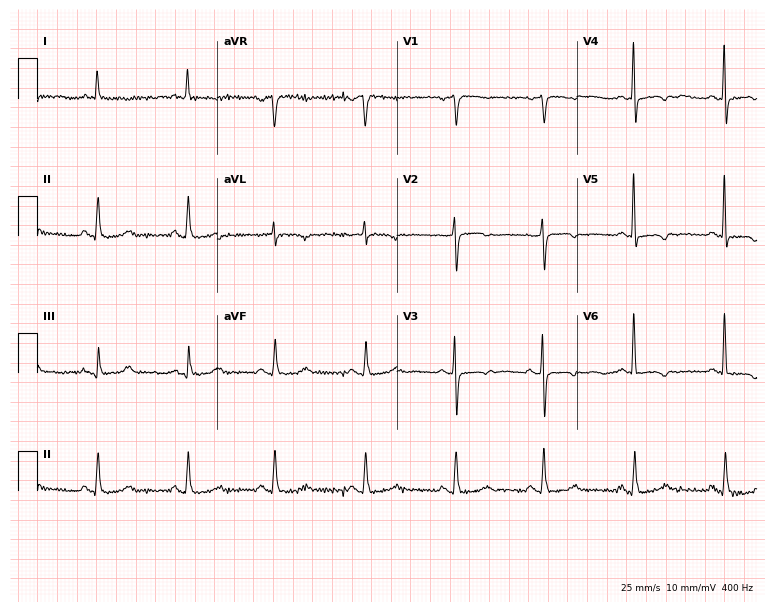
Standard 12-lead ECG recorded from an 80-year-old female patient (7.3-second recording at 400 Hz). None of these six findings is recorded: first-degree AV block, right bundle branch block (RBBB), left bundle branch block (LBBB), sinus bradycardia, atrial fibrillation (AF), sinus tachycardia. Findings outside these six are not listed.